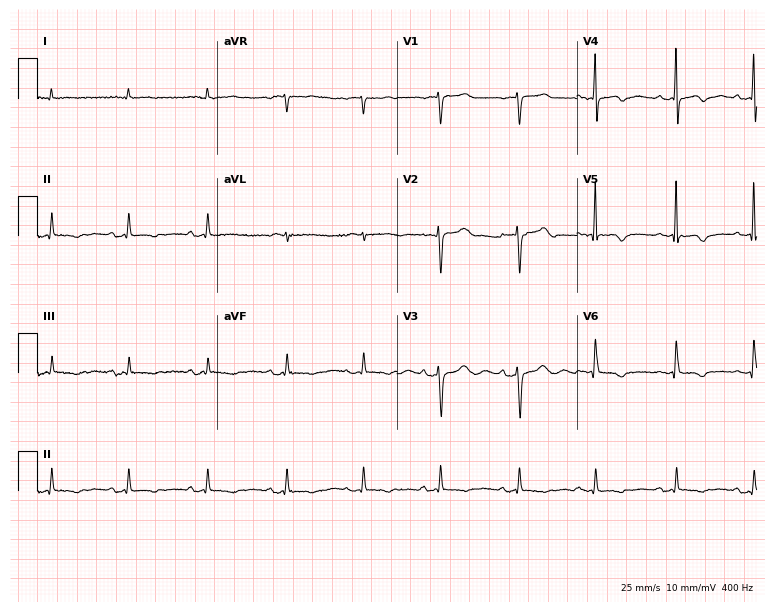
ECG (7.3-second recording at 400 Hz) — a woman, 78 years old. Screened for six findings — first-degree AV block, right bundle branch block, left bundle branch block, sinus bradycardia, atrial fibrillation, sinus tachycardia — none is recorded.